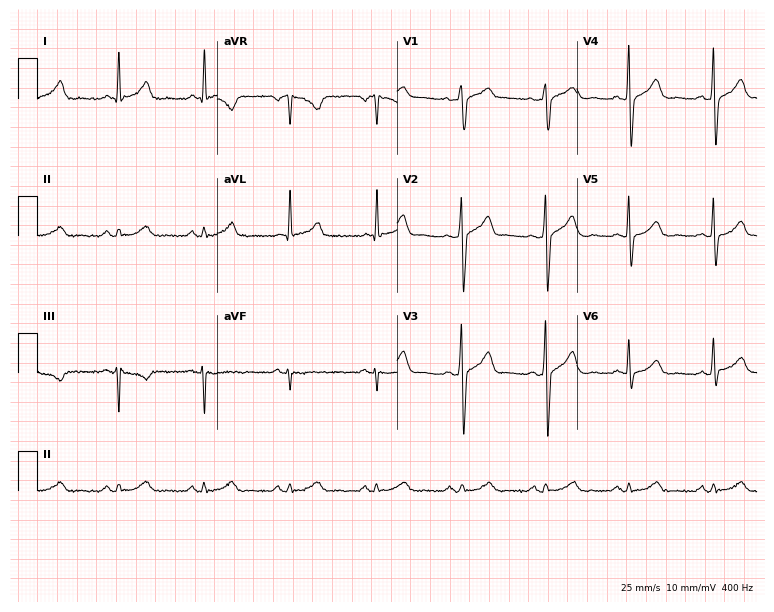
12-lead ECG from a 48-year-old male patient. Labelled as a normal ECG.